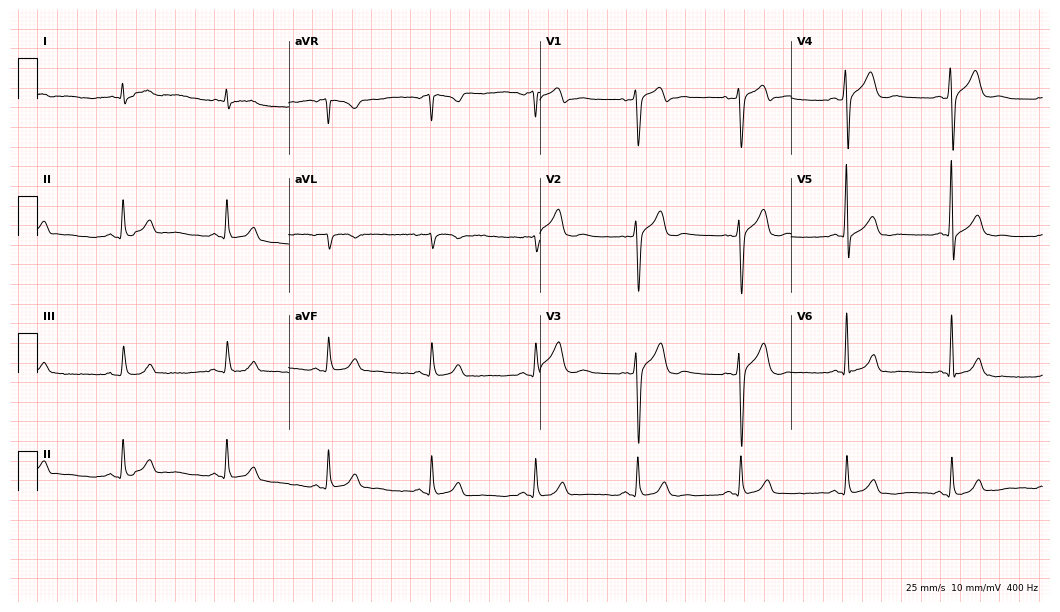
Electrocardiogram (10.2-second recording at 400 Hz), a 56-year-old male patient. Of the six screened findings (first-degree AV block, right bundle branch block (RBBB), left bundle branch block (LBBB), sinus bradycardia, atrial fibrillation (AF), sinus tachycardia), none is recorded.